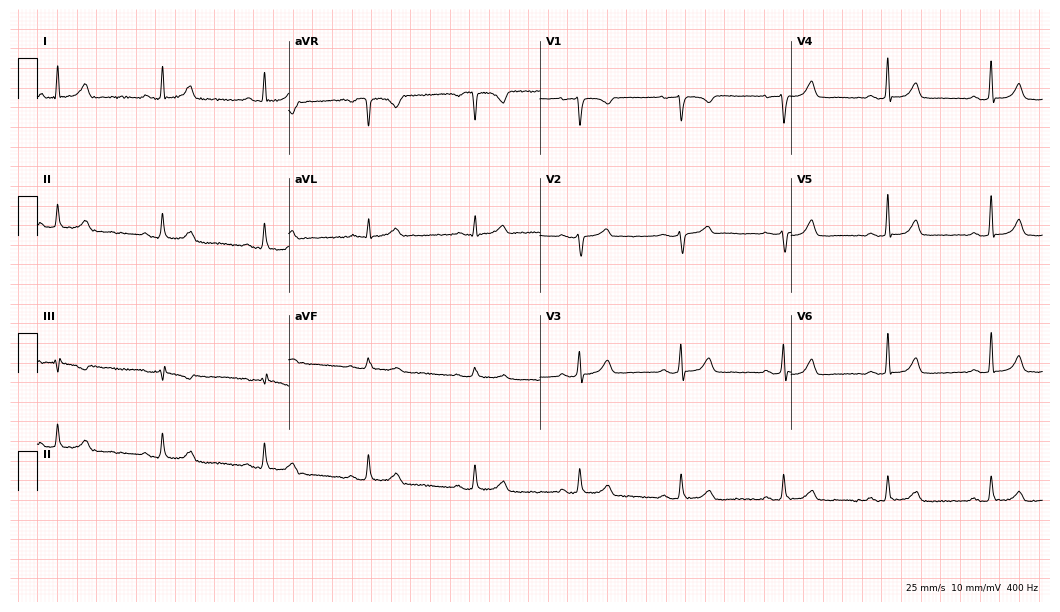
Resting 12-lead electrocardiogram. Patient: a 47-year-old female. Read as a normal ECG.